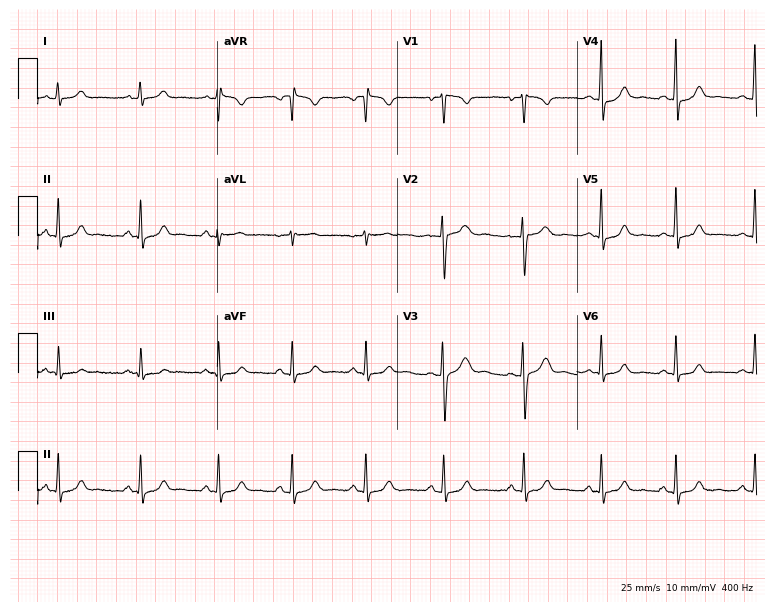
Standard 12-lead ECG recorded from a woman, 27 years old (7.3-second recording at 400 Hz). Read as a normal ECG.